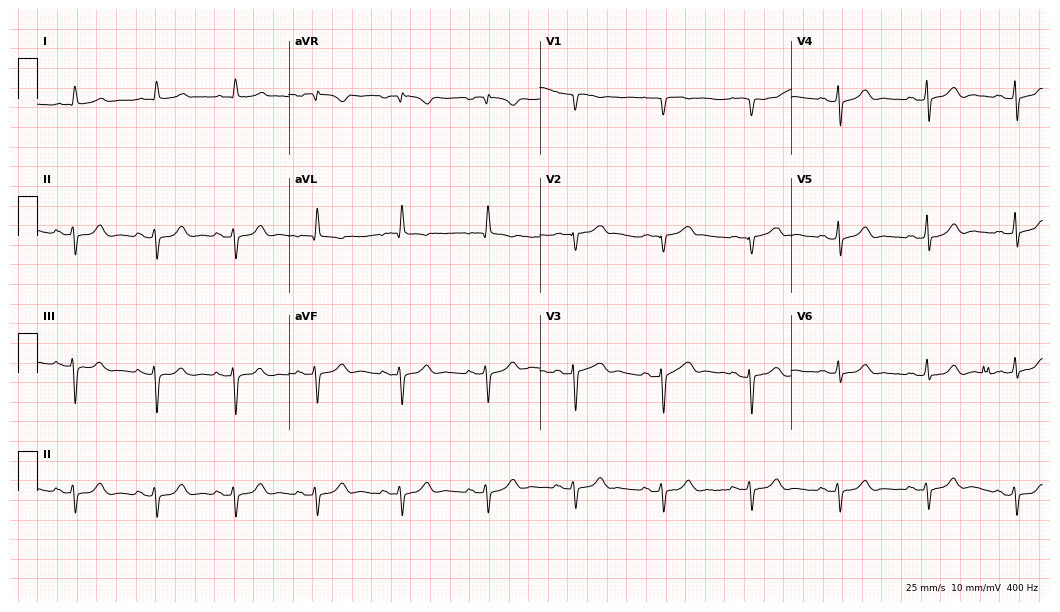
12-lead ECG from a male patient, 79 years old. No first-degree AV block, right bundle branch block, left bundle branch block, sinus bradycardia, atrial fibrillation or sinus tachycardia recorded for this tracing. Only these six findings were labelled.